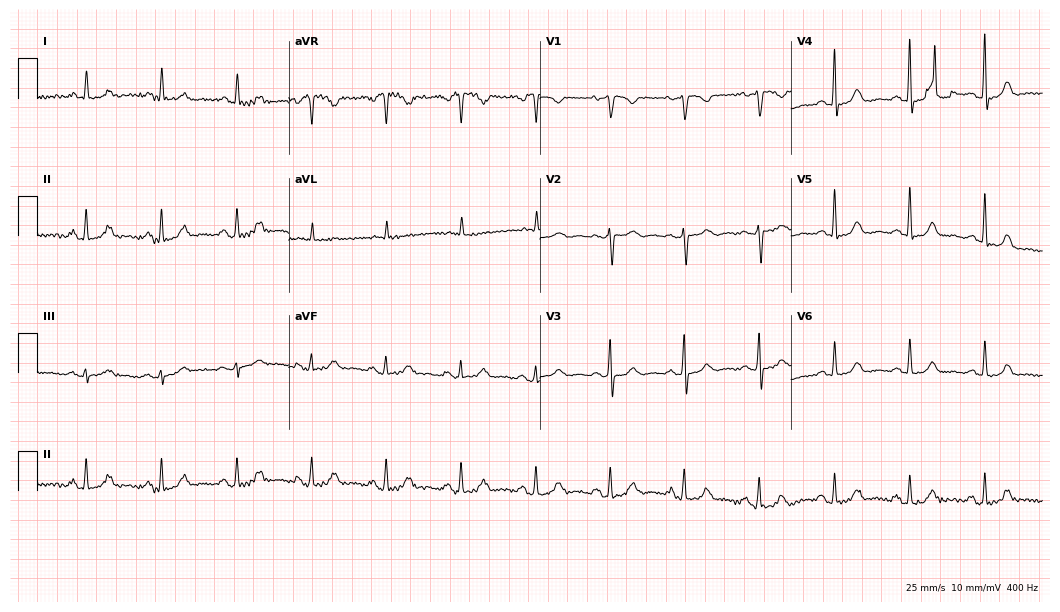
12-lead ECG from a female, 61 years old. No first-degree AV block, right bundle branch block (RBBB), left bundle branch block (LBBB), sinus bradycardia, atrial fibrillation (AF) or sinus tachycardia recorded for this tracing. Only these six findings were labelled.